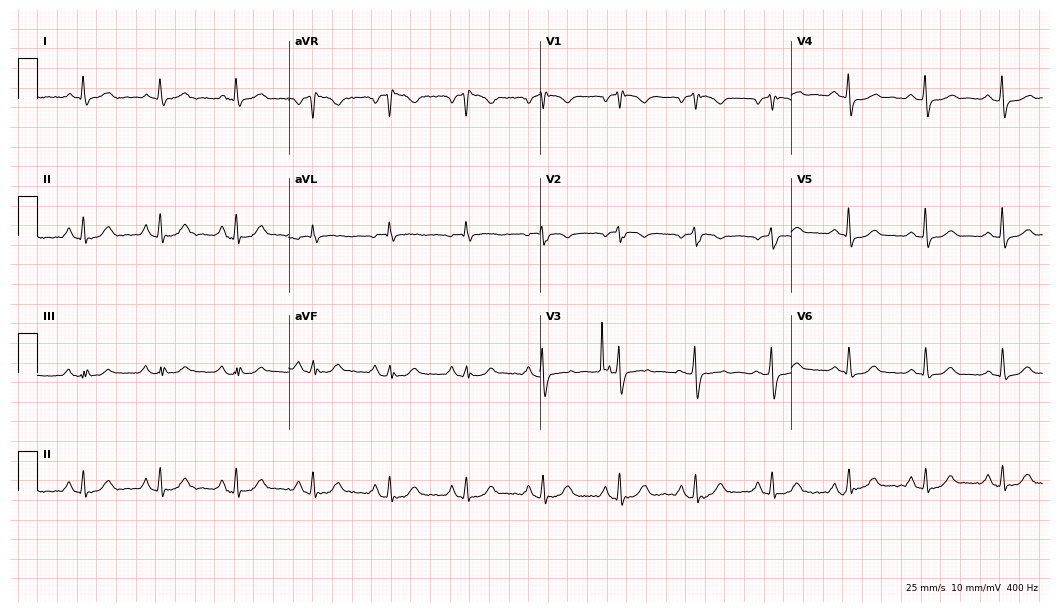
12-lead ECG from a woman, 82 years old (10.2-second recording at 400 Hz). No first-degree AV block, right bundle branch block (RBBB), left bundle branch block (LBBB), sinus bradycardia, atrial fibrillation (AF) or sinus tachycardia recorded for this tracing.